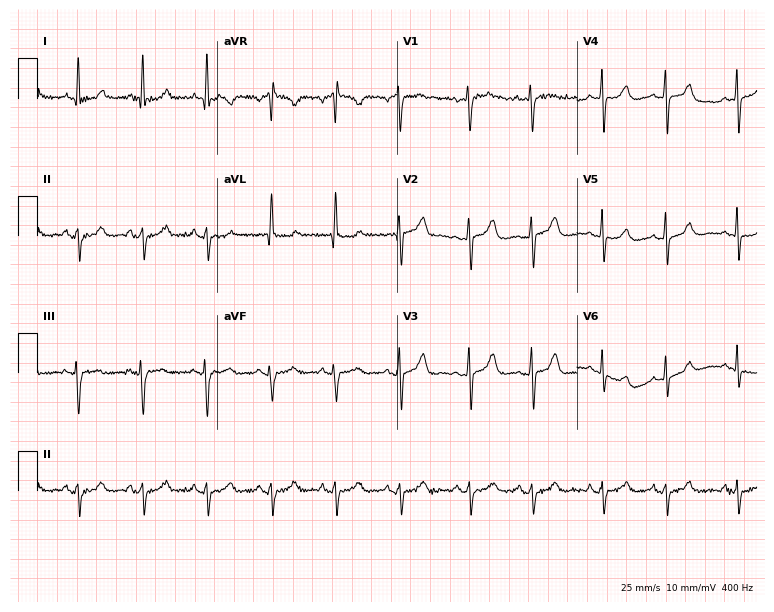
Standard 12-lead ECG recorded from a female patient, 63 years old (7.3-second recording at 400 Hz). None of these six findings is recorded: first-degree AV block, right bundle branch block (RBBB), left bundle branch block (LBBB), sinus bradycardia, atrial fibrillation (AF), sinus tachycardia.